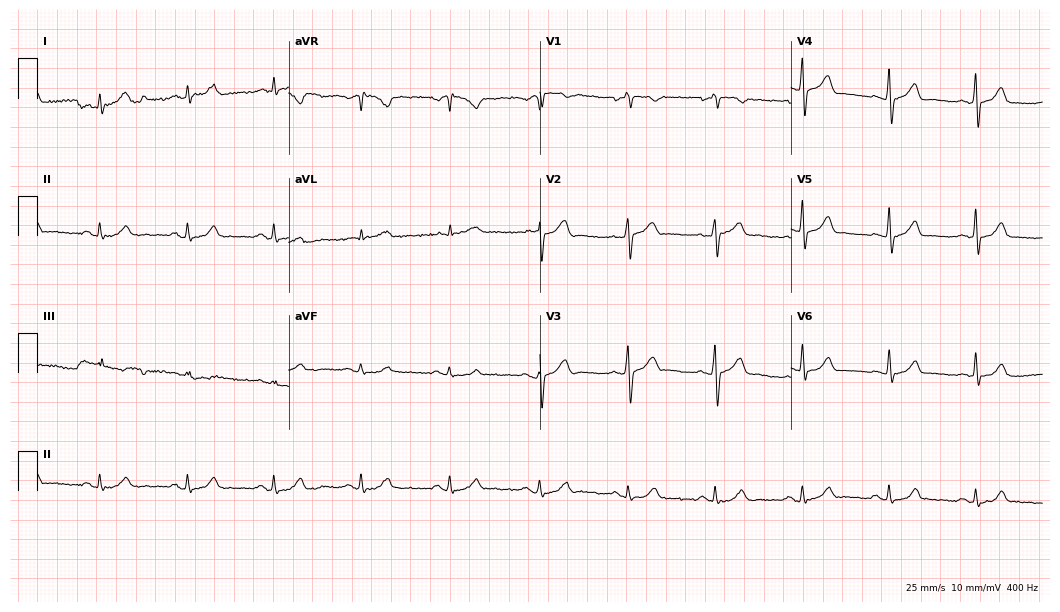
Resting 12-lead electrocardiogram (10.2-second recording at 400 Hz). Patient: a male, 56 years old. Read as a normal ECG.